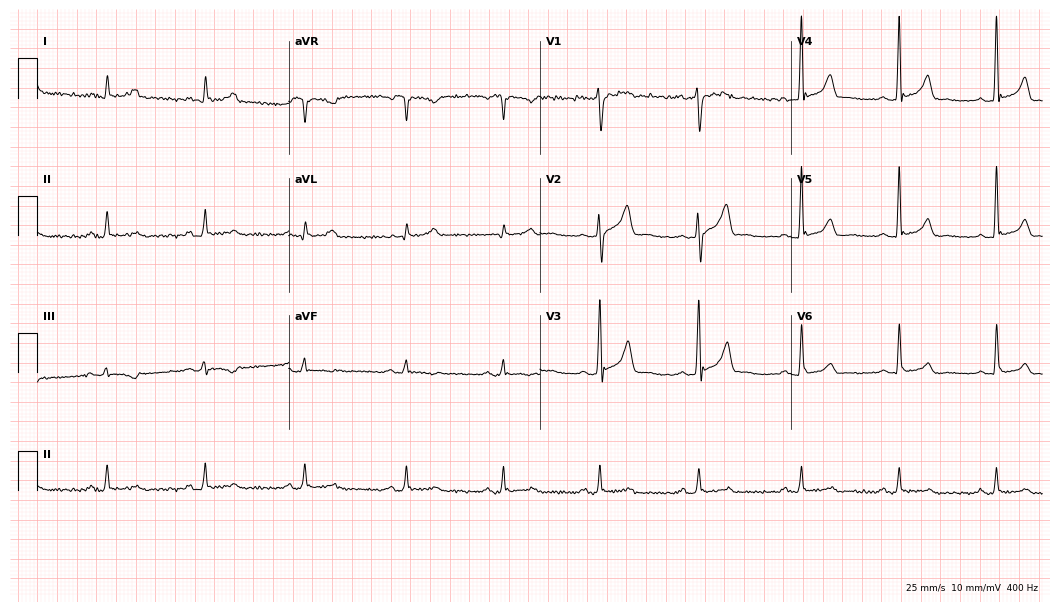
Standard 12-lead ECG recorded from a 47-year-old male (10.2-second recording at 400 Hz). Read as a normal ECG.